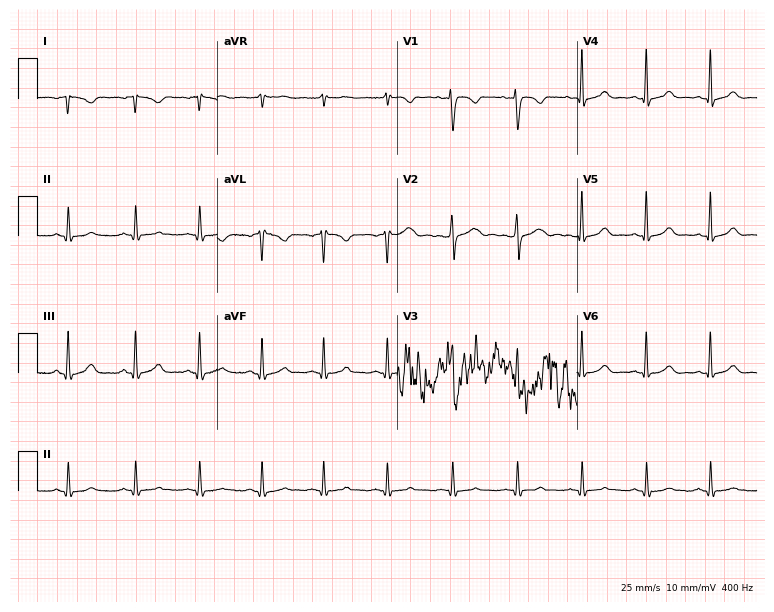
Resting 12-lead electrocardiogram. Patient: a woman, 22 years old. None of these six findings is recorded: first-degree AV block, right bundle branch block, left bundle branch block, sinus bradycardia, atrial fibrillation, sinus tachycardia.